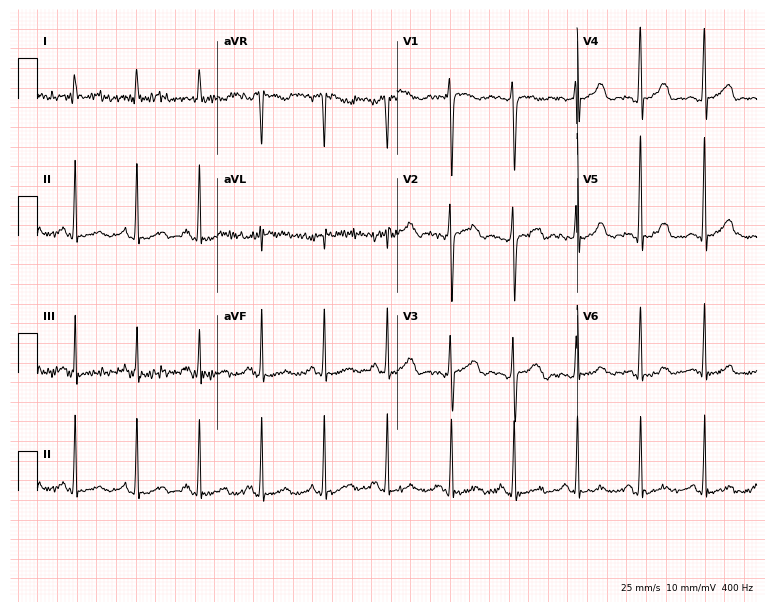
Resting 12-lead electrocardiogram (7.3-second recording at 400 Hz). Patient: a 35-year-old female. None of these six findings is recorded: first-degree AV block, right bundle branch block, left bundle branch block, sinus bradycardia, atrial fibrillation, sinus tachycardia.